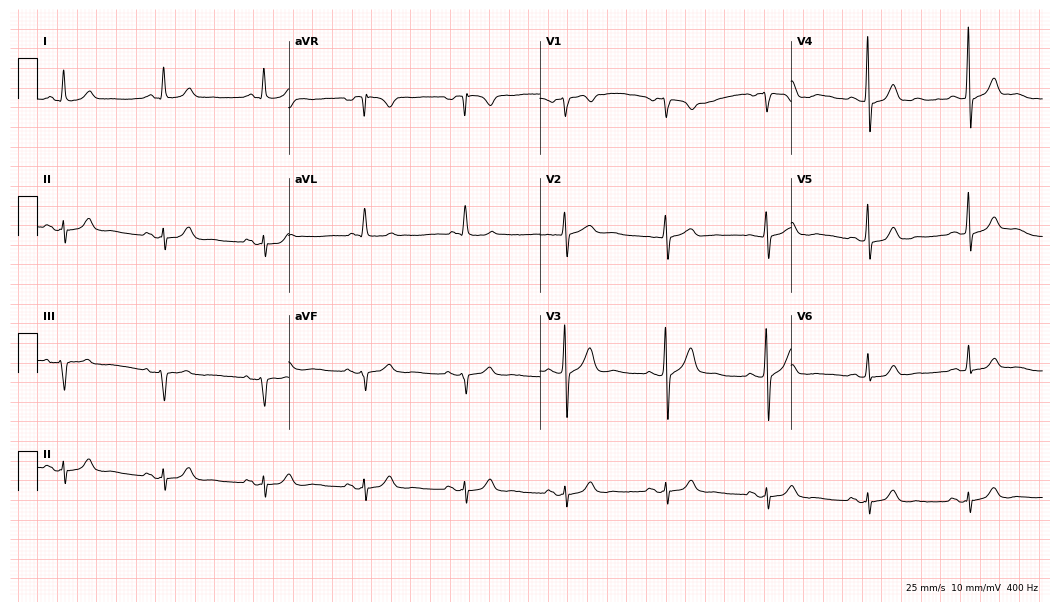
Standard 12-lead ECG recorded from an 85-year-old male (10.2-second recording at 400 Hz). Read as a normal ECG.